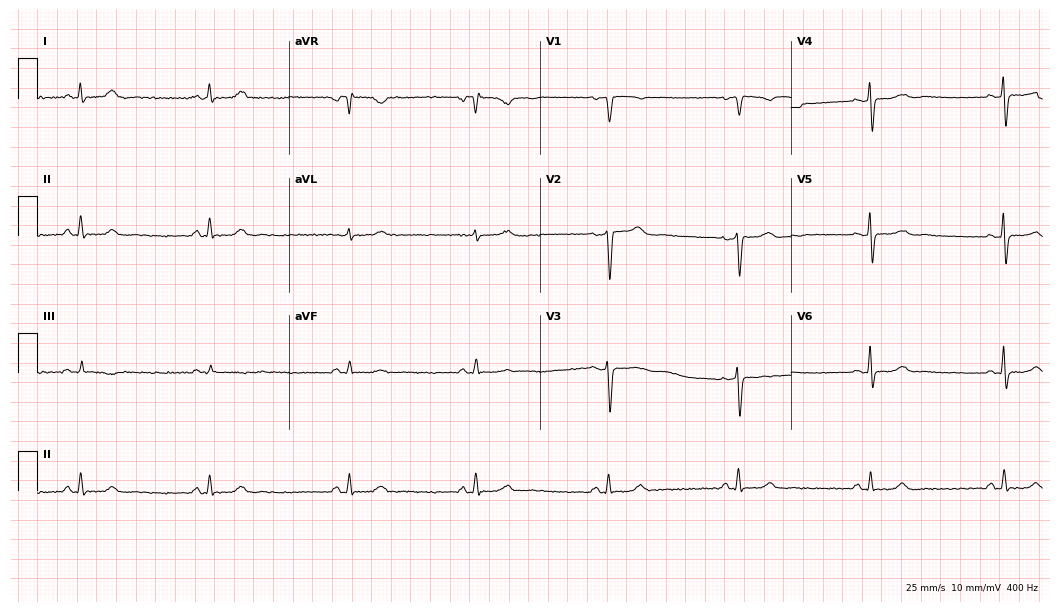
Resting 12-lead electrocardiogram (10.2-second recording at 400 Hz). Patient: a 63-year-old woman. The tracing shows sinus bradycardia (a sinus rate of 50 beats per minute or less).